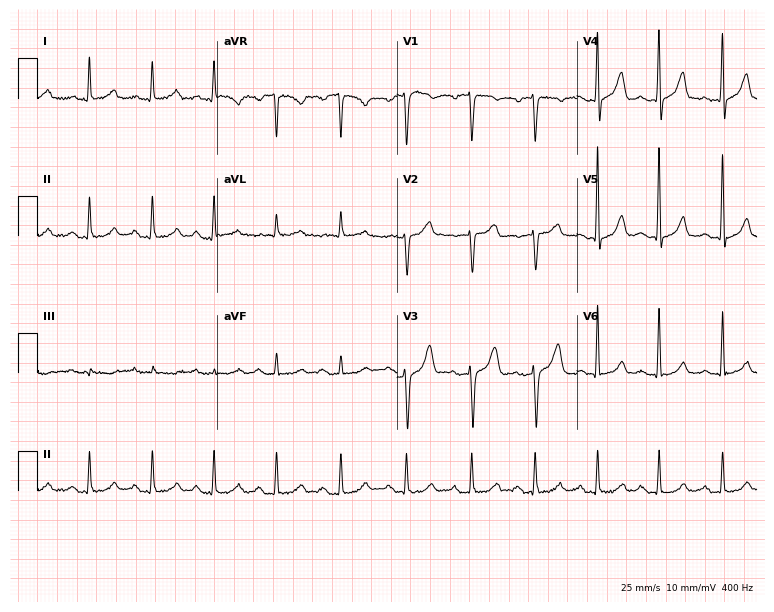
ECG — a male patient, 69 years old. Labelled as a normal ECG.